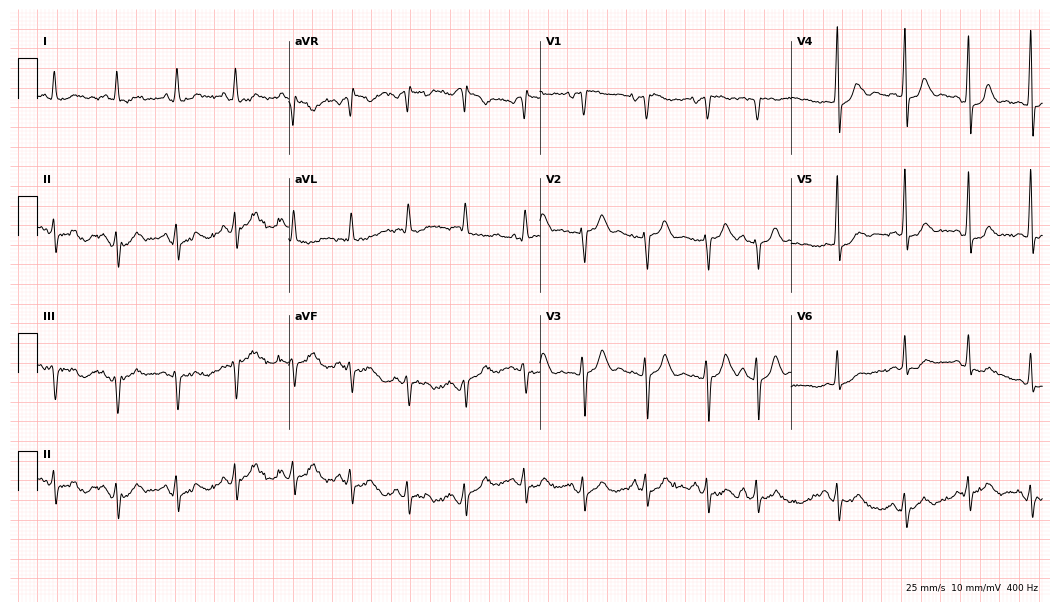
ECG — a 70-year-old woman. Screened for six findings — first-degree AV block, right bundle branch block, left bundle branch block, sinus bradycardia, atrial fibrillation, sinus tachycardia — none is recorded. Other findings, if any, are not listed.